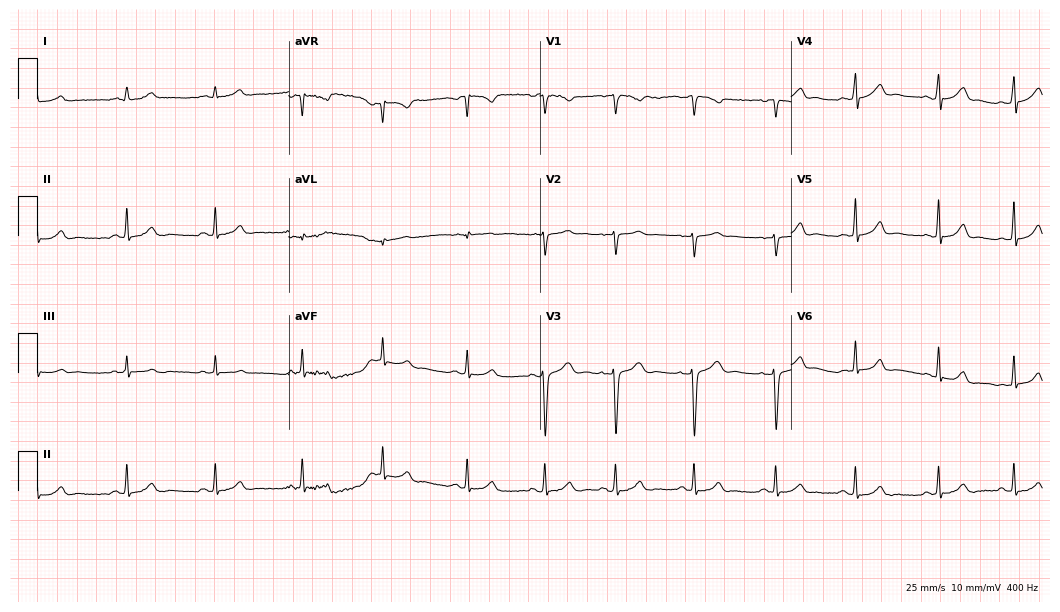
Electrocardiogram, a 22-year-old female patient. Of the six screened findings (first-degree AV block, right bundle branch block, left bundle branch block, sinus bradycardia, atrial fibrillation, sinus tachycardia), none is recorded. Other findings, if any, are not listed.